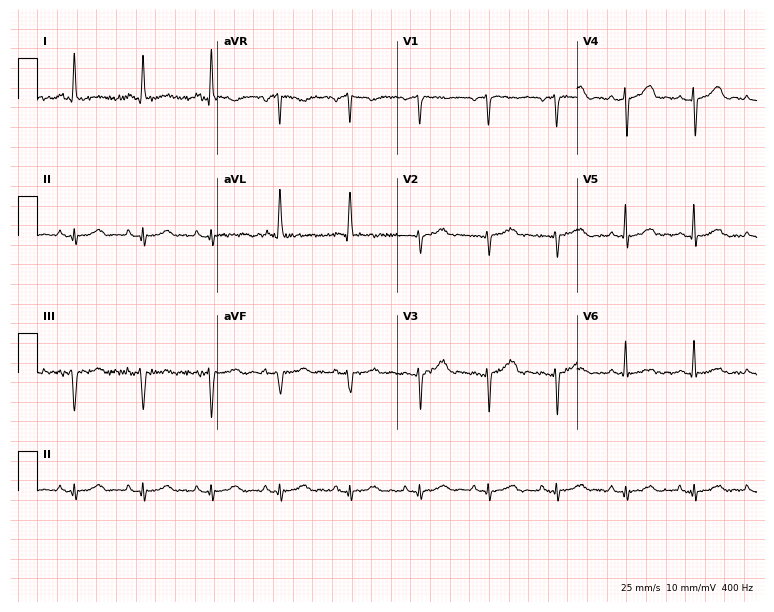
ECG — a female, 73 years old. Screened for six findings — first-degree AV block, right bundle branch block (RBBB), left bundle branch block (LBBB), sinus bradycardia, atrial fibrillation (AF), sinus tachycardia — none is recorded. Other findings, if any, are not listed.